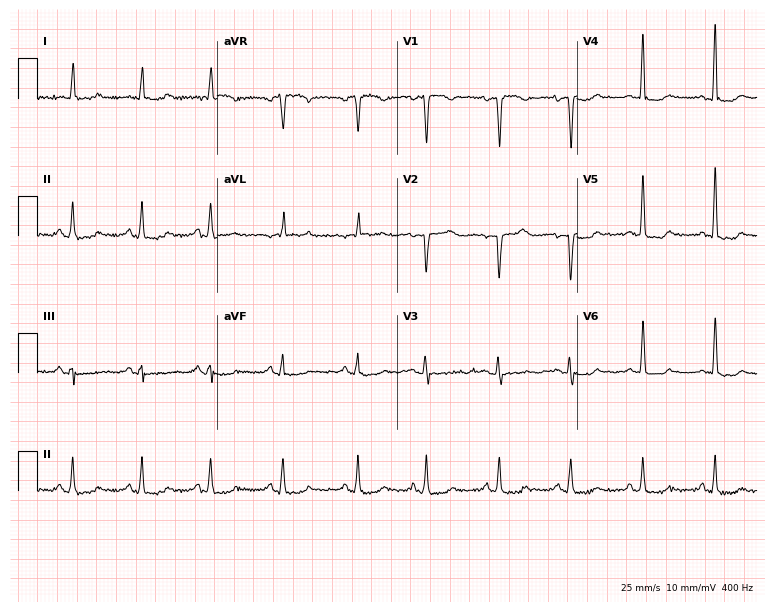
Electrocardiogram (7.3-second recording at 400 Hz), a female, 47 years old. Of the six screened findings (first-degree AV block, right bundle branch block, left bundle branch block, sinus bradycardia, atrial fibrillation, sinus tachycardia), none is recorded.